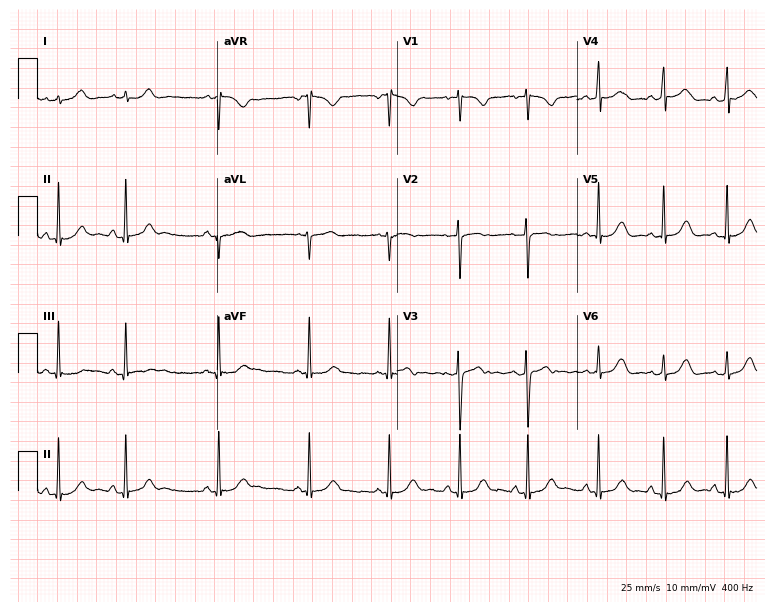
Standard 12-lead ECG recorded from a female, 20 years old. None of these six findings is recorded: first-degree AV block, right bundle branch block, left bundle branch block, sinus bradycardia, atrial fibrillation, sinus tachycardia.